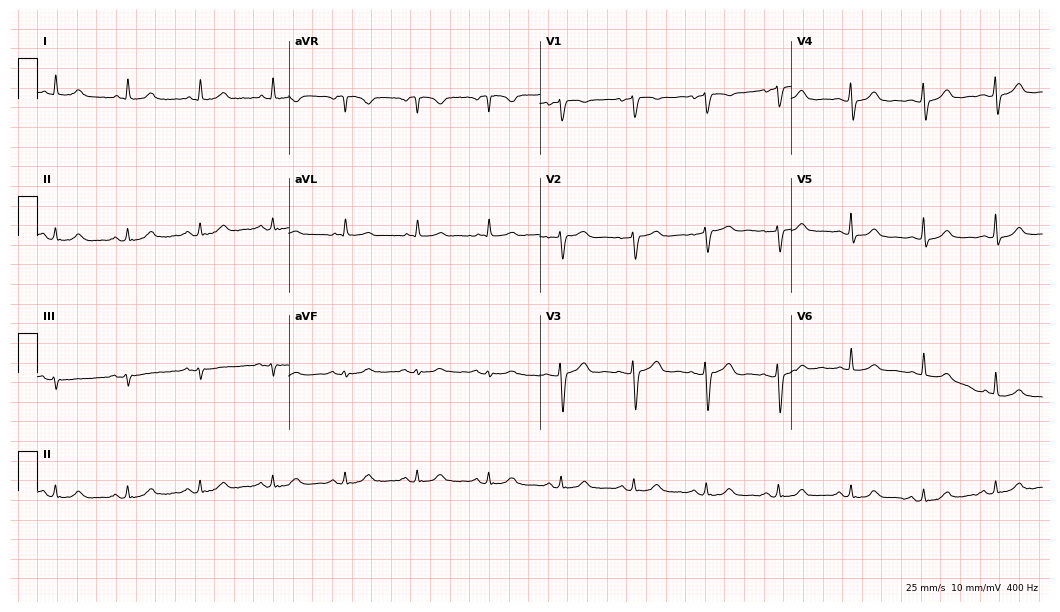
Electrocardiogram (10.2-second recording at 400 Hz), a 68-year-old woman. Of the six screened findings (first-degree AV block, right bundle branch block (RBBB), left bundle branch block (LBBB), sinus bradycardia, atrial fibrillation (AF), sinus tachycardia), none is recorded.